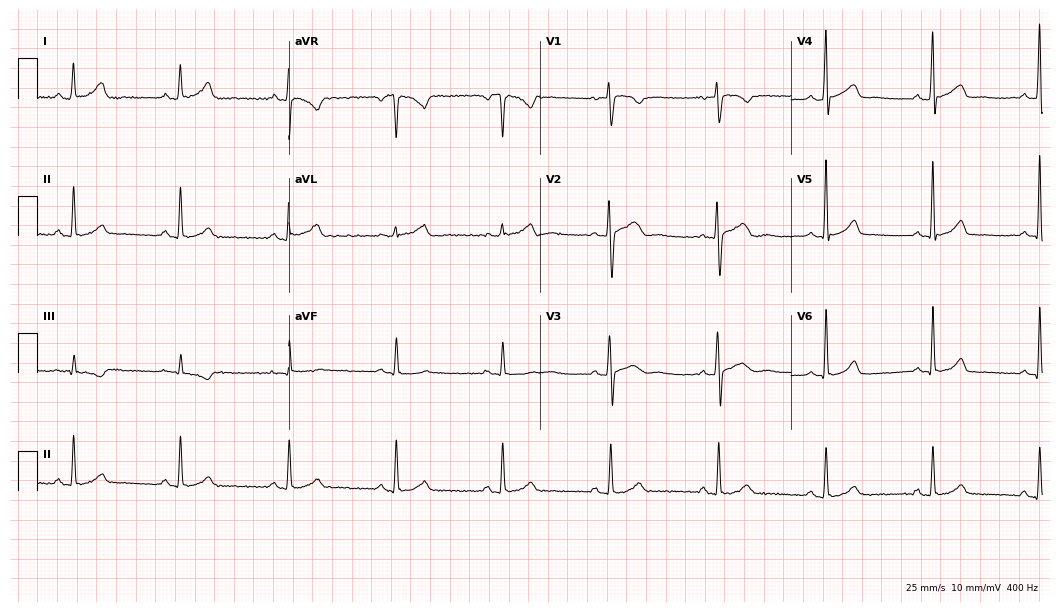
Resting 12-lead electrocardiogram (10.2-second recording at 400 Hz). Patient: a 59-year-old woman. None of these six findings is recorded: first-degree AV block, right bundle branch block, left bundle branch block, sinus bradycardia, atrial fibrillation, sinus tachycardia. Only these six findings were labelled.